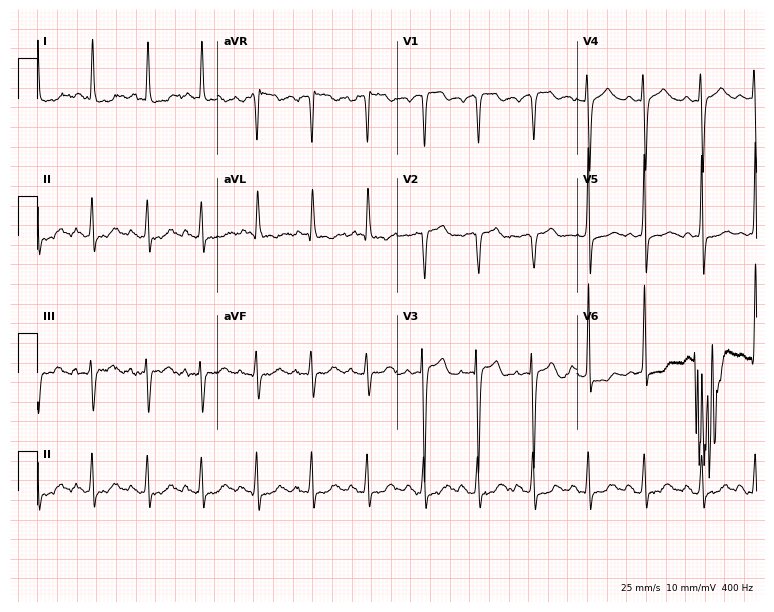
Standard 12-lead ECG recorded from a female patient, 82 years old (7.3-second recording at 400 Hz). The tracing shows sinus tachycardia (a sinus rate of 100 beats per minute or more).